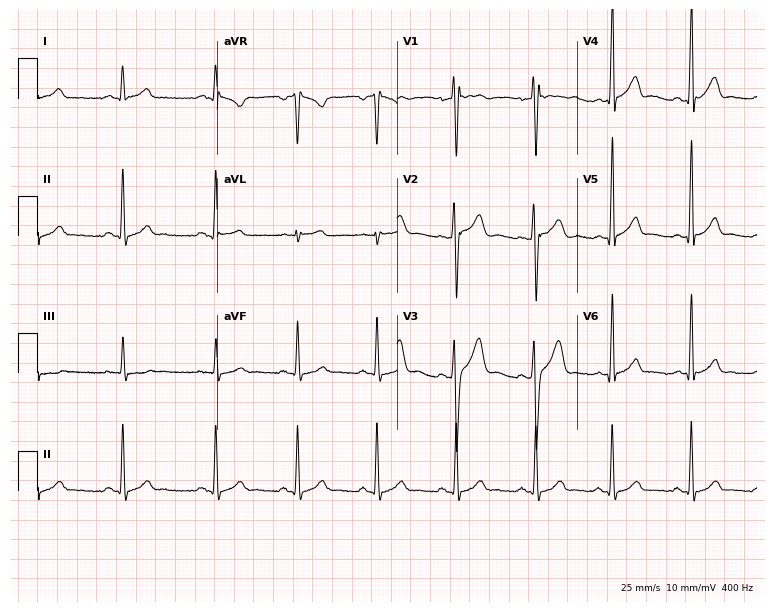
Electrocardiogram, a 22-year-old male. Overall reading on record: normal ECG.